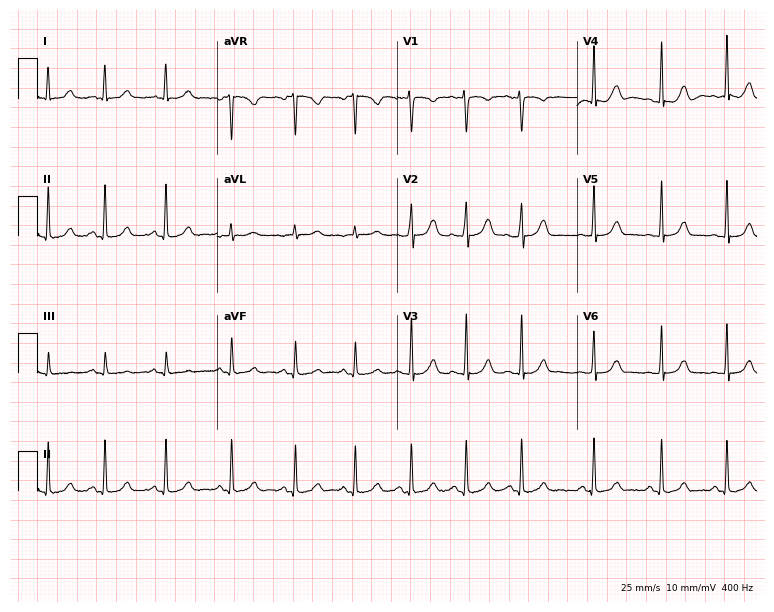
12-lead ECG from a 28-year-old female. Recorded interpretation: within normal limits.